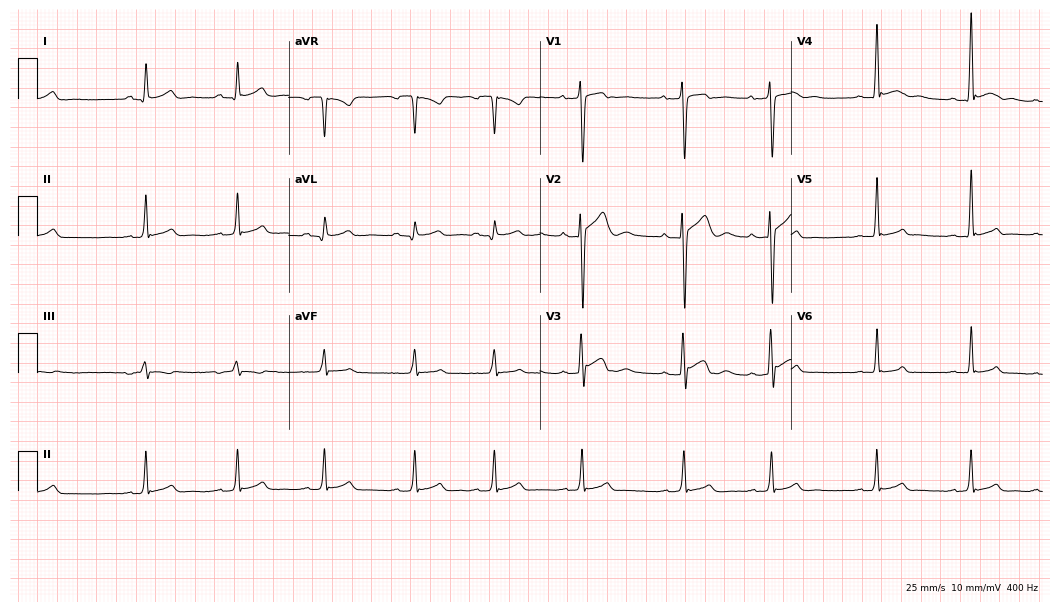
12-lead ECG from an 18-year-old man (10.2-second recording at 400 Hz). Recorded interpretation: within normal limits.